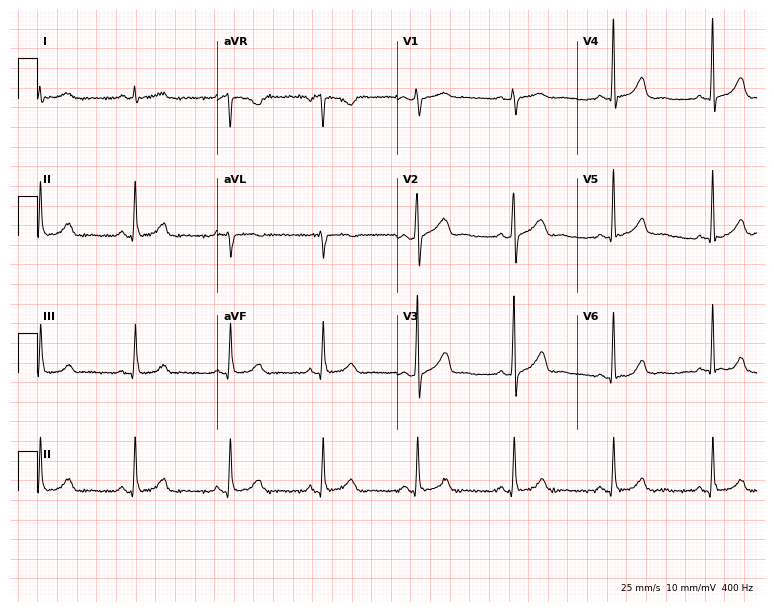
Standard 12-lead ECG recorded from a male patient, 46 years old (7.3-second recording at 400 Hz). Read as a normal ECG.